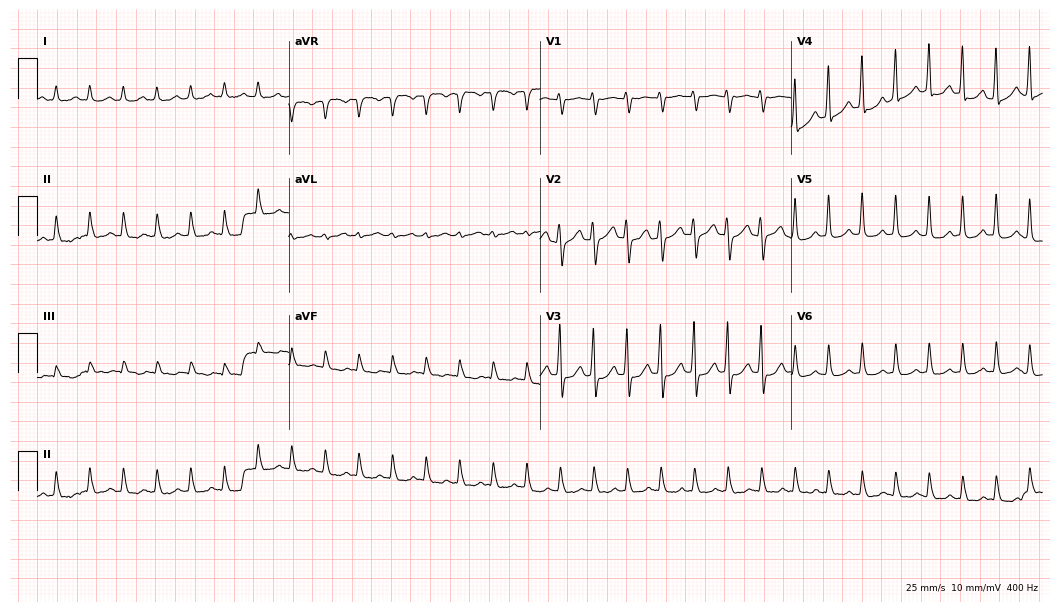
Electrocardiogram, a 74-year-old female patient. Interpretation includes sinus tachycardia (a sinus rate of 100 beats per minute or more).